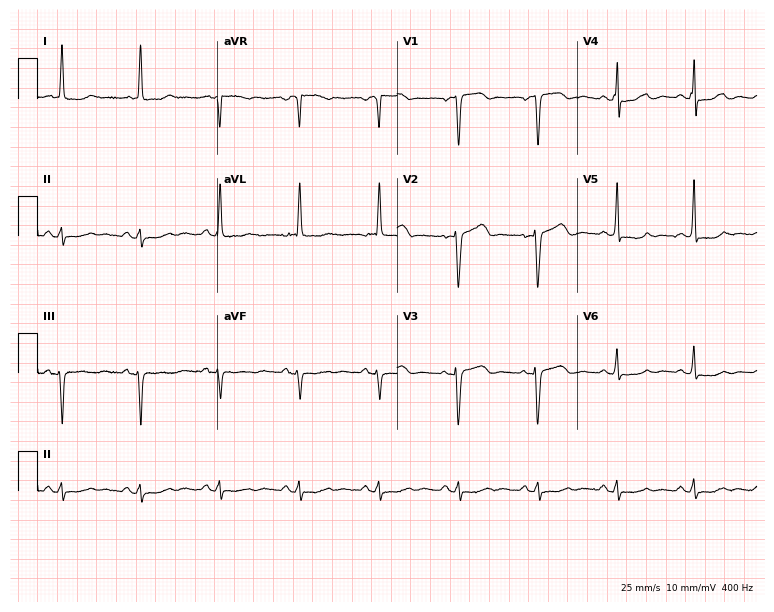
12-lead ECG from a female, 83 years old. Screened for six findings — first-degree AV block, right bundle branch block, left bundle branch block, sinus bradycardia, atrial fibrillation, sinus tachycardia — none is recorded.